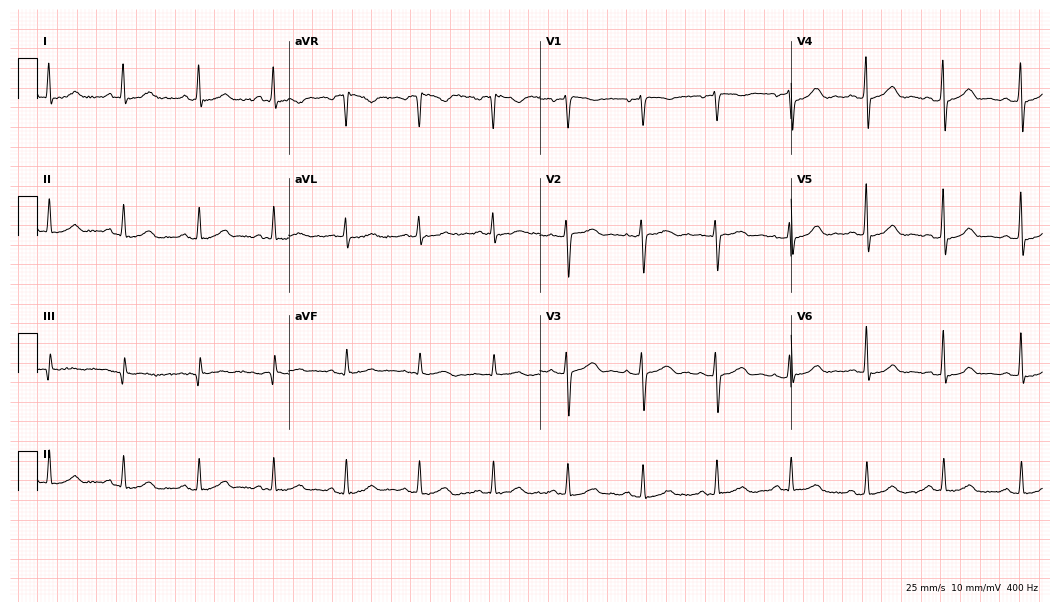
Resting 12-lead electrocardiogram (10.2-second recording at 400 Hz). Patient: a 47-year-old female. Read as a normal ECG.